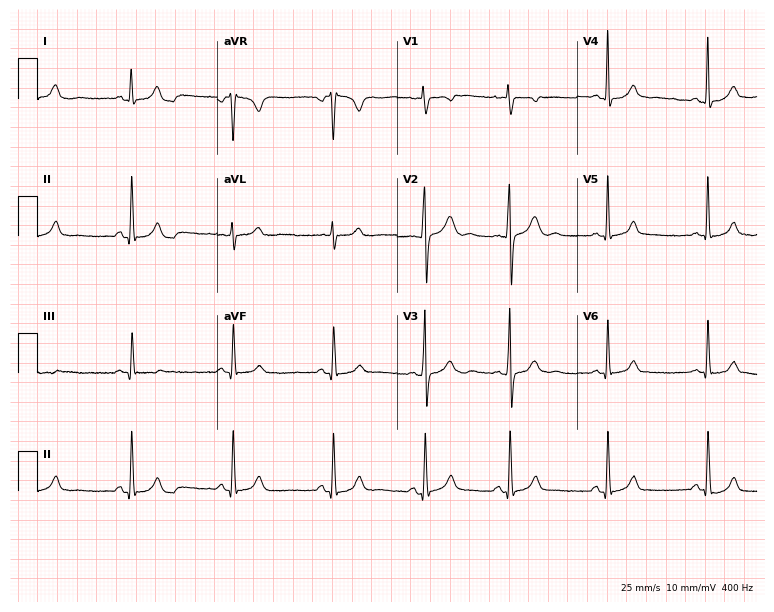
ECG — a 17-year-old female. Screened for six findings — first-degree AV block, right bundle branch block, left bundle branch block, sinus bradycardia, atrial fibrillation, sinus tachycardia — none is recorded.